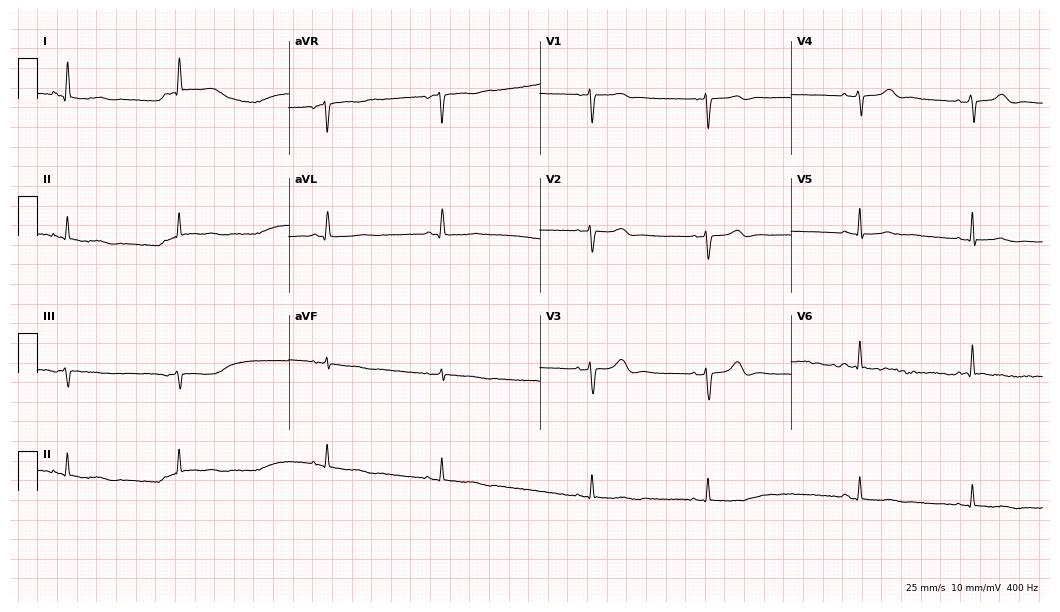
ECG — a 69-year-old female patient. Screened for six findings — first-degree AV block, right bundle branch block, left bundle branch block, sinus bradycardia, atrial fibrillation, sinus tachycardia — none is recorded.